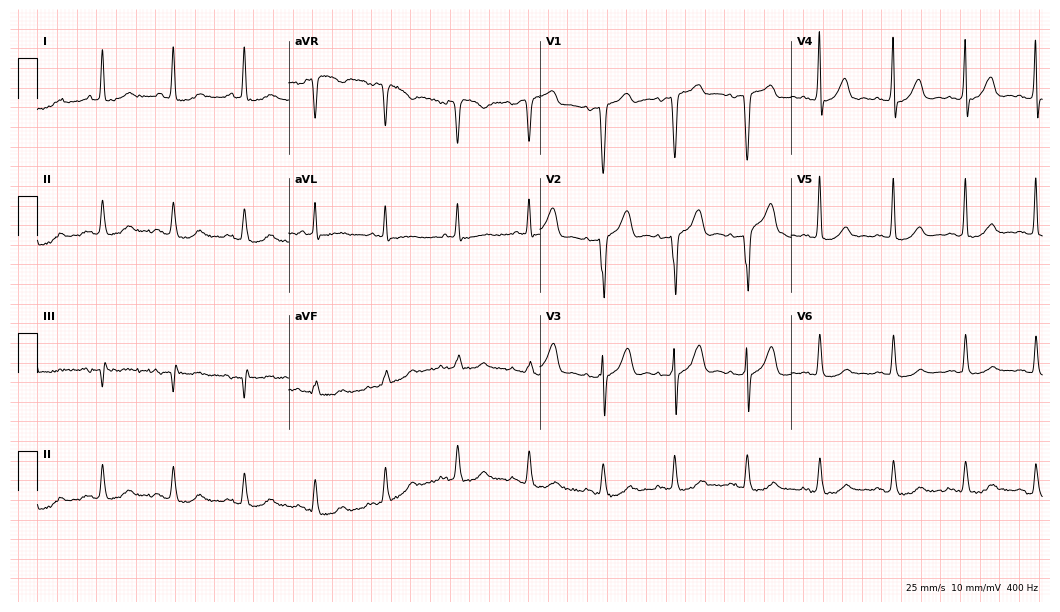
Electrocardiogram, a female, 77 years old. Overall reading on record: normal ECG.